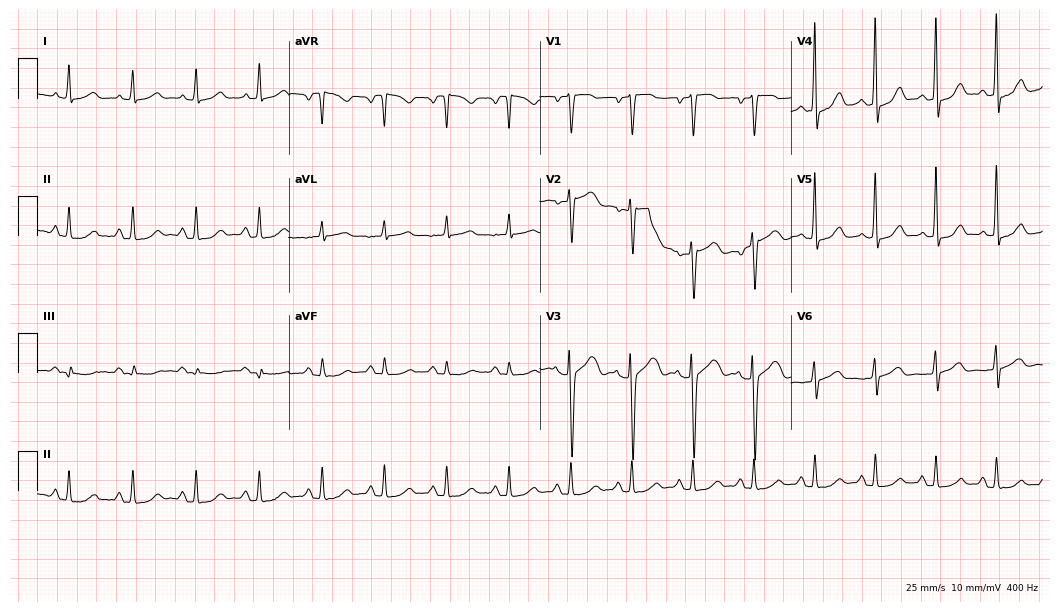
ECG — a female patient, 61 years old. Labelled as a normal ECG.